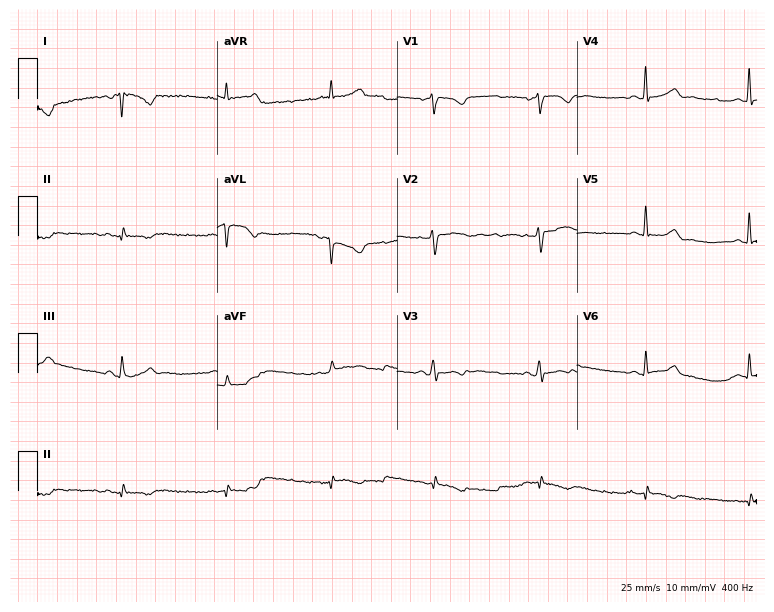
Electrocardiogram (7.3-second recording at 400 Hz), a female patient, 51 years old. Of the six screened findings (first-degree AV block, right bundle branch block, left bundle branch block, sinus bradycardia, atrial fibrillation, sinus tachycardia), none is recorded.